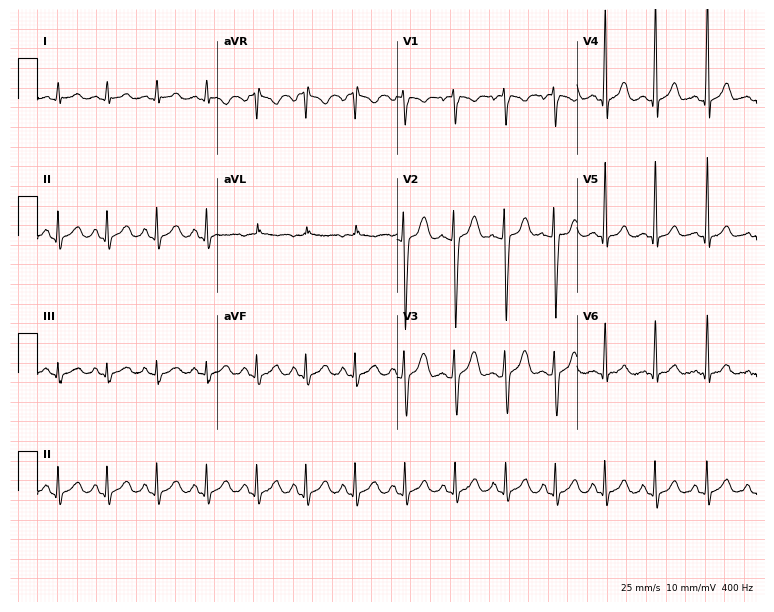
12-lead ECG from a male, 20 years old. Shows sinus tachycardia (a sinus rate of 100 beats per minute or more).